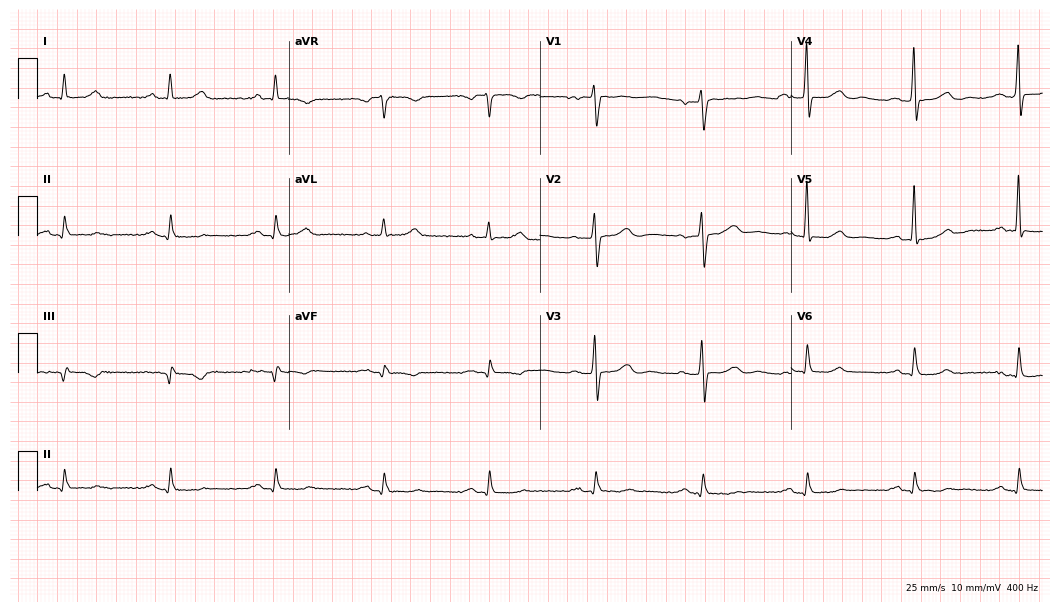
12-lead ECG from a male patient, 78 years old. No first-degree AV block, right bundle branch block (RBBB), left bundle branch block (LBBB), sinus bradycardia, atrial fibrillation (AF) or sinus tachycardia recorded for this tracing. Findings outside these six are not listed.